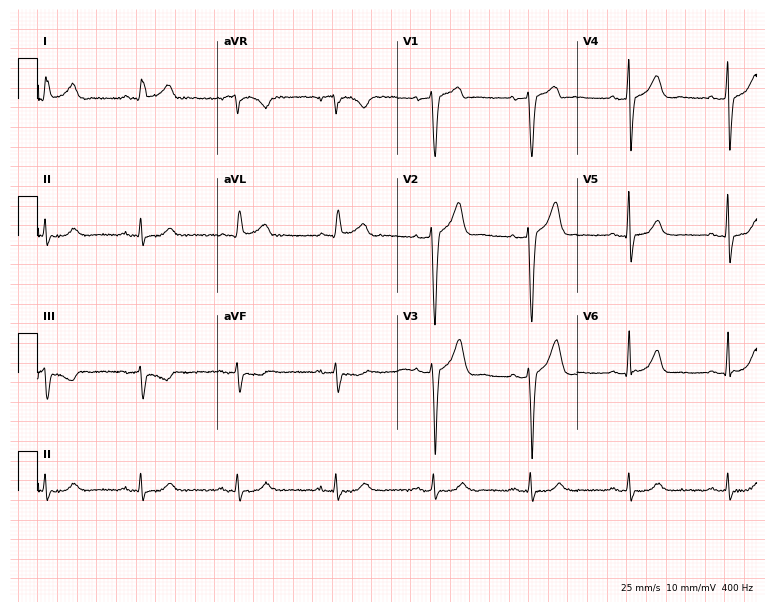
12-lead ECG from a 64-year-old male. Labelled as a normal ECG.